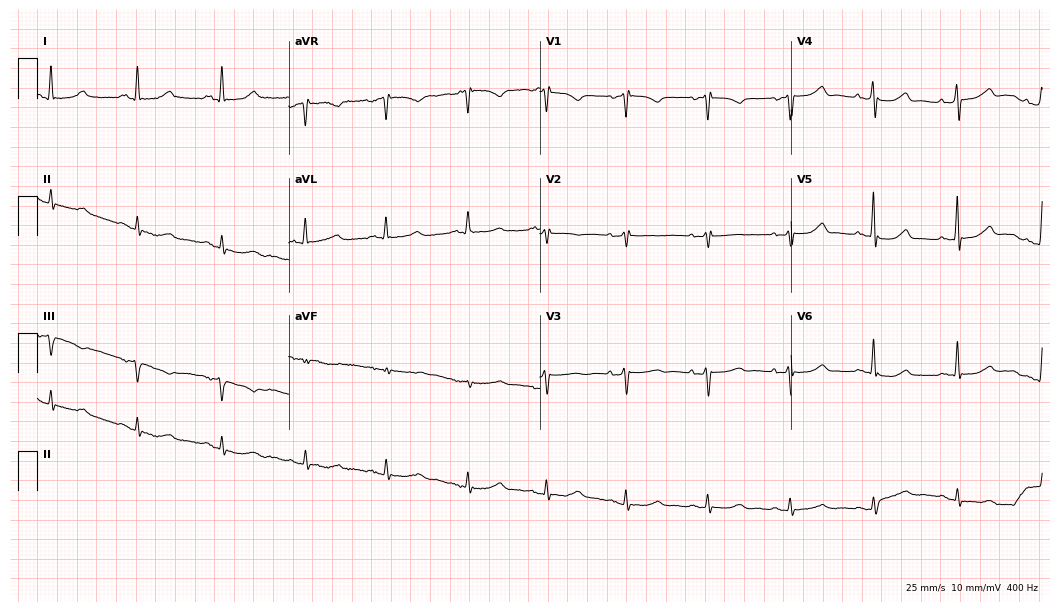
Resting 12-lead electrocardiogram. Patient: a female, 58 years old. Read as a normal ECG.